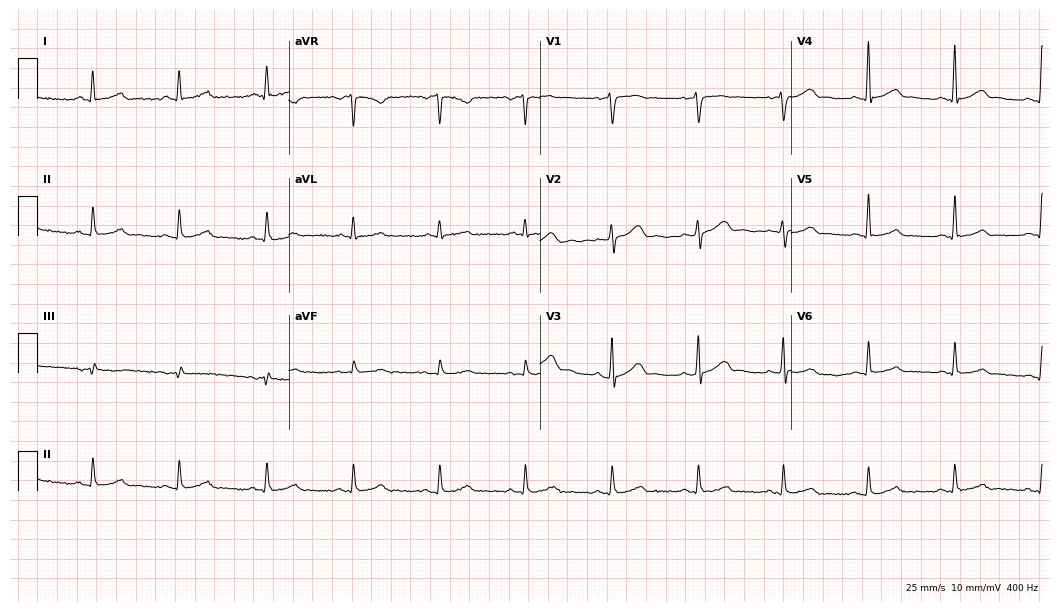
12-lead ECG from a 46-year-old male. Recorded interpretation: within normal limits.